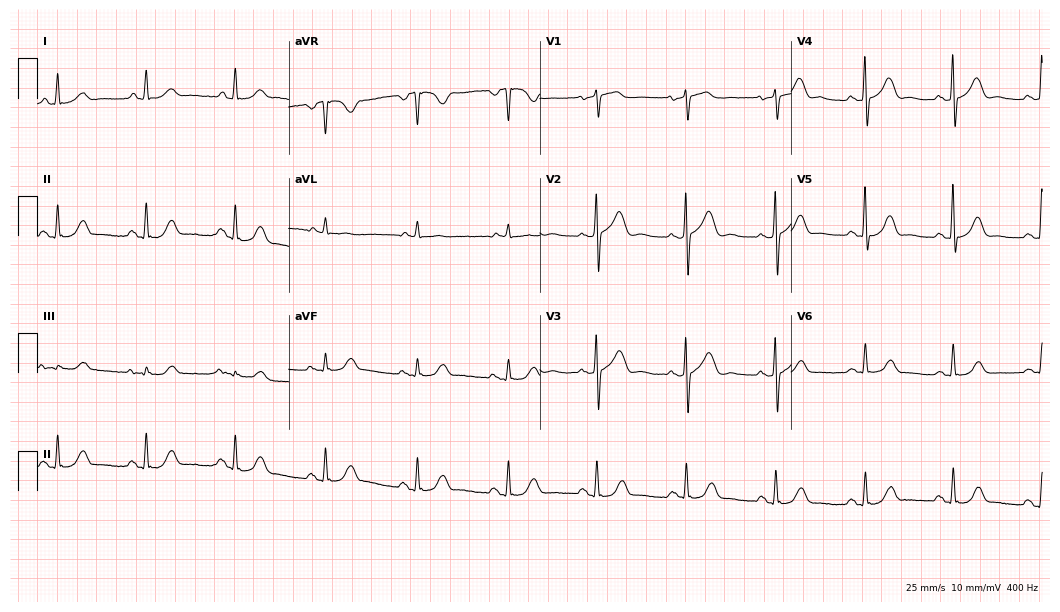
Resting 12-lead electrocardiogram (10.2-second recording at 400 Hz). Patient: a female, 78 years old. None of these six findings is recorded: first-degree AV block, right bundle branch block, left bundle branch block, sinus bradycardia, atrial fibrillation, sinus tachycardia.